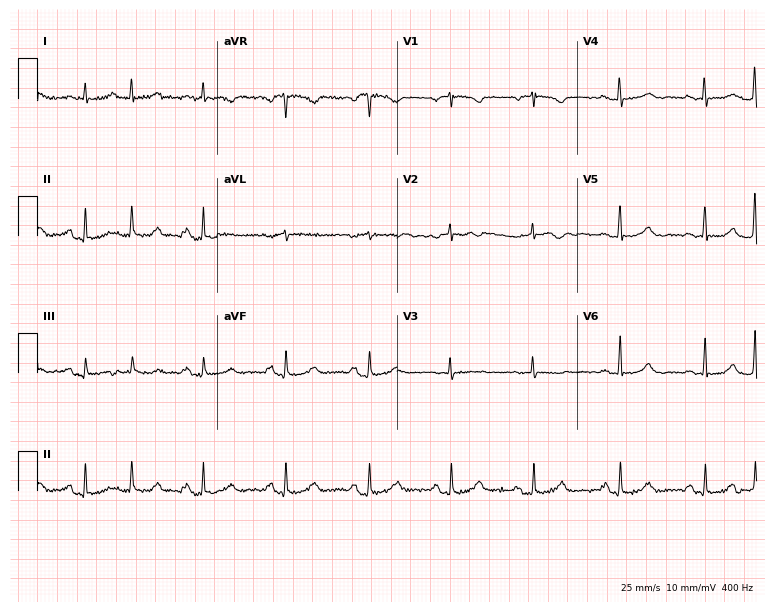
Standard 12-lead ECG recorded from a female patient, 77 years old. None of these six findings is recorded: first-degree AV block, right bundle branch block, left bundle branch block, sinus bradycardia, atrial fibrillation, sinus tachycardia.